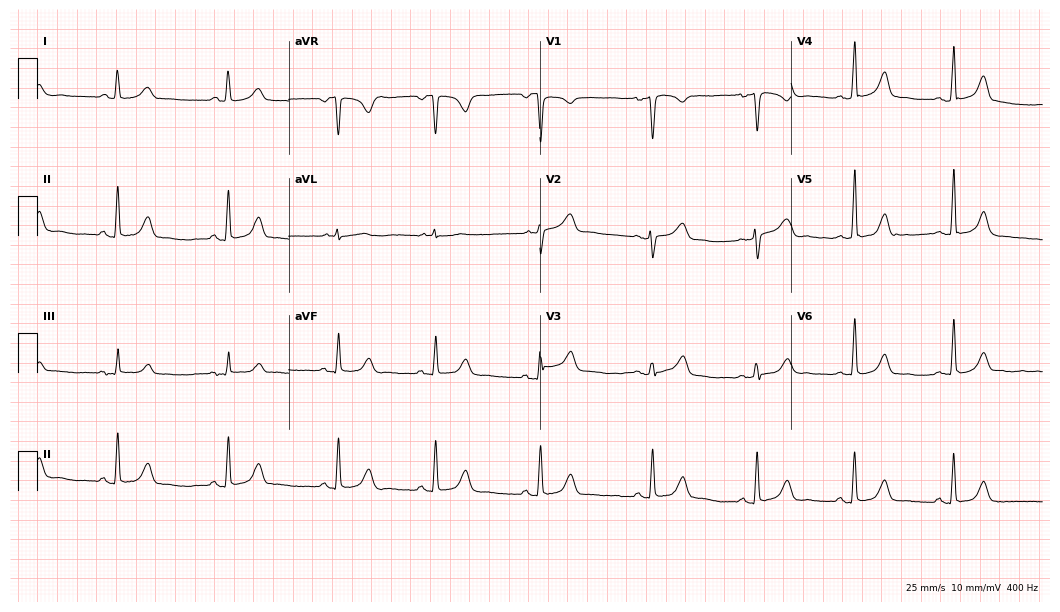
Resting 12-lead electrocardiogram. Patient: a 54-year-old woman. Read as a normal ECG.